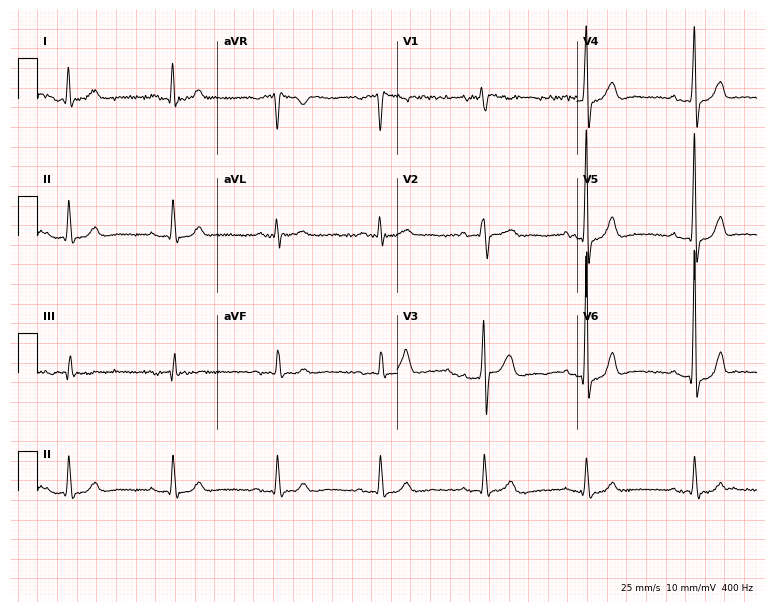
Resting 12-lead electrocardiogram. Patient: a 60-year-old man. The tracing shows first-degree AV block.